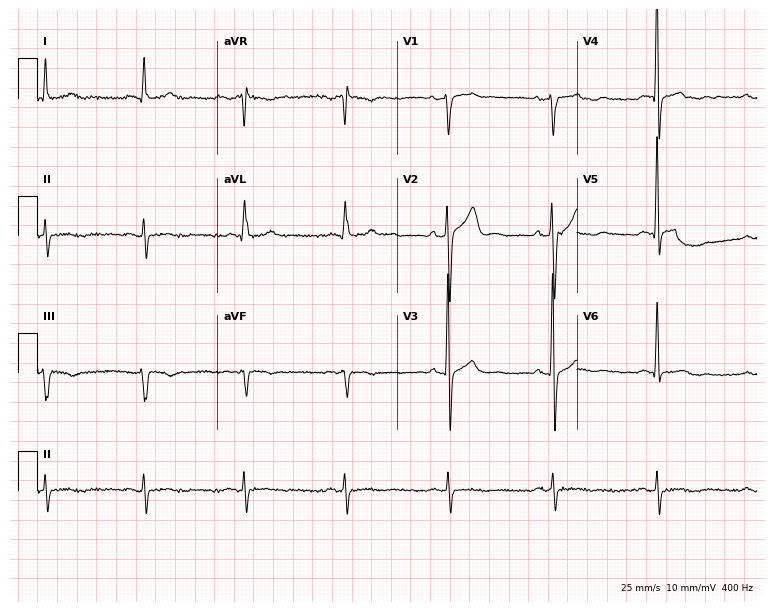
Resting 12-lead electrocardiogram. Patient: a man, 51 years old. None of these six findings is recorded: first-degree AV block, right bundle branch block (RBBB), left bundle branch block (LBBB), sinus bradycardia, atrial fibrillation (AF), sinus tachycardia.